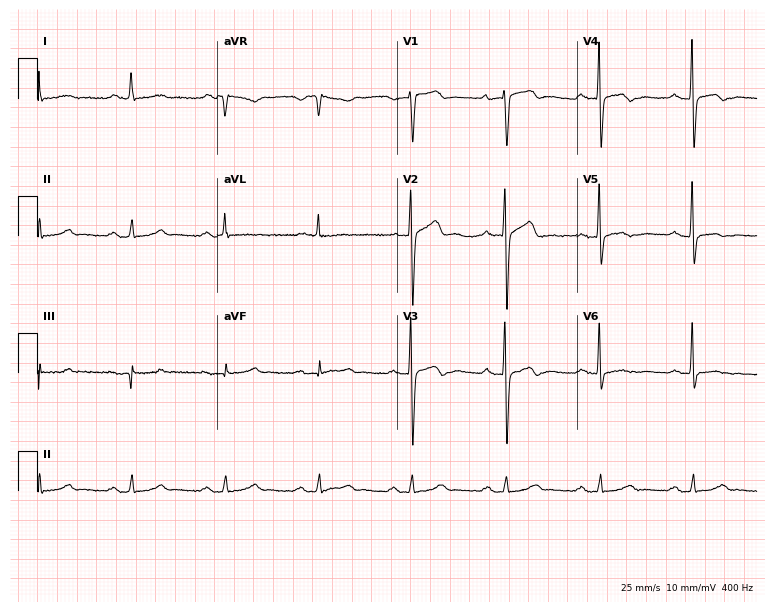
12-lead ECG from a male patient, 72 years old. No first-degree AV block, right bundle branch block, left bundle branch block, sinus bradycardia, atrial fibrillation or sinus tachycardia recorded for this tracing. Only these six findings were labelled.